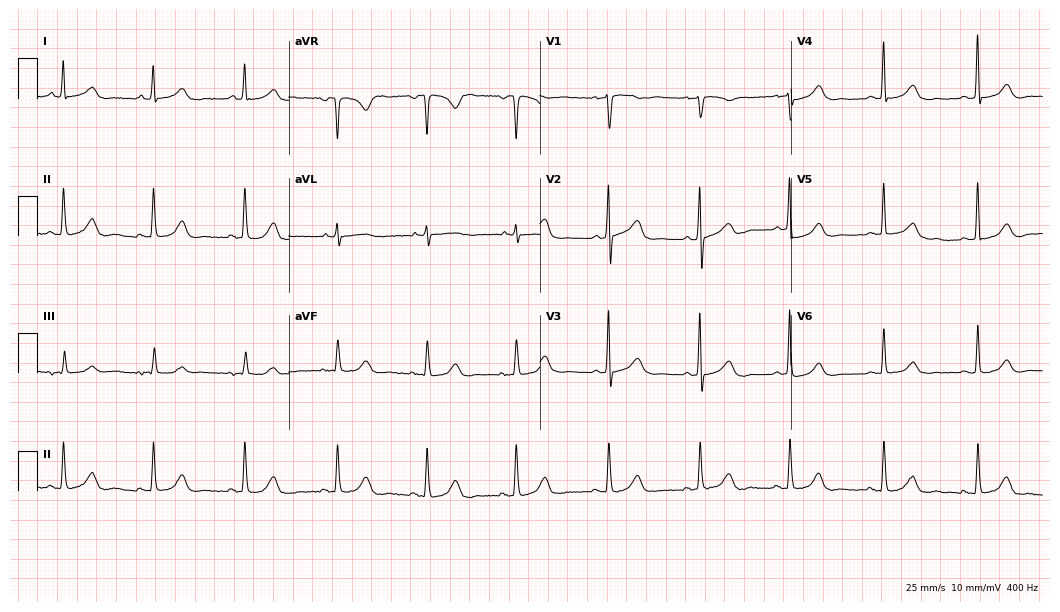
ECG (10.2-second recording at 400 Hz) — a woman, 69 years old. Labelled as a normal ECG.